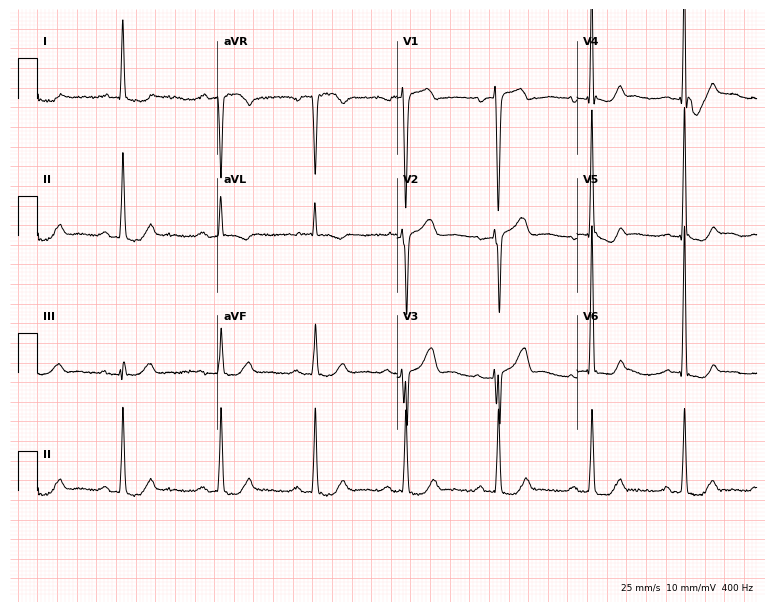
Standard 12-lead ECG recorded from a 76-year-old female. None of these six findings is recorded: first-degree AV block, right bundle branch block, left bundle branch block, sinus bradycardia, atrial fibrillation, sinus tachycardia. Findings outside these six are not listed.